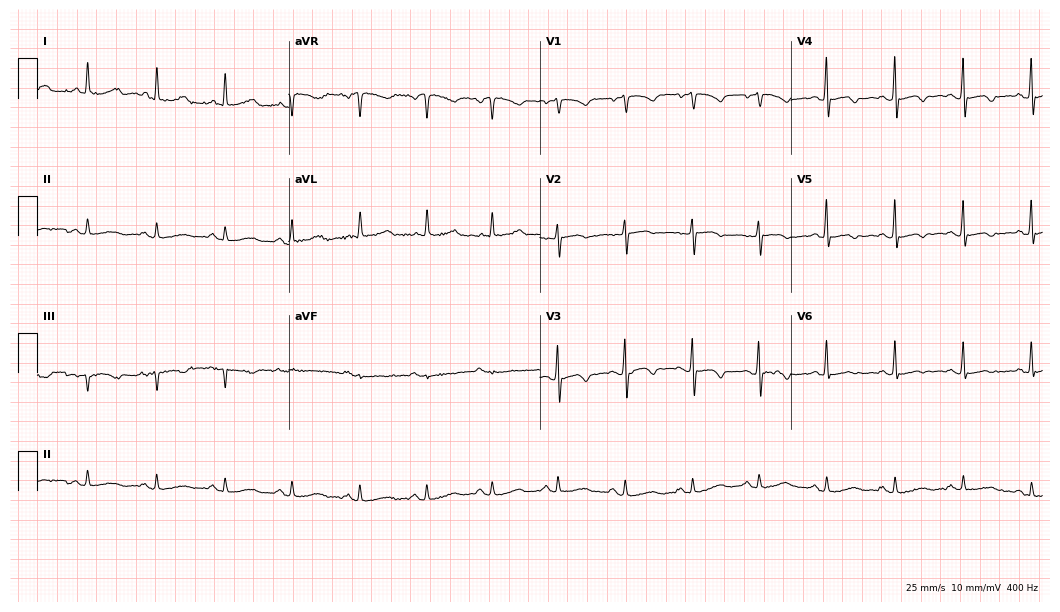
Electrocardiogram, a 46-year-old woman. Of the six screened findings (first-degree AV block, right bundle branch block (RBBB), left bundle branch block (LBBB), sinus bradycardia, atrial fibrillation (AF), sinus tachycardia), none is recorded. Other findings, if any, are not listed.